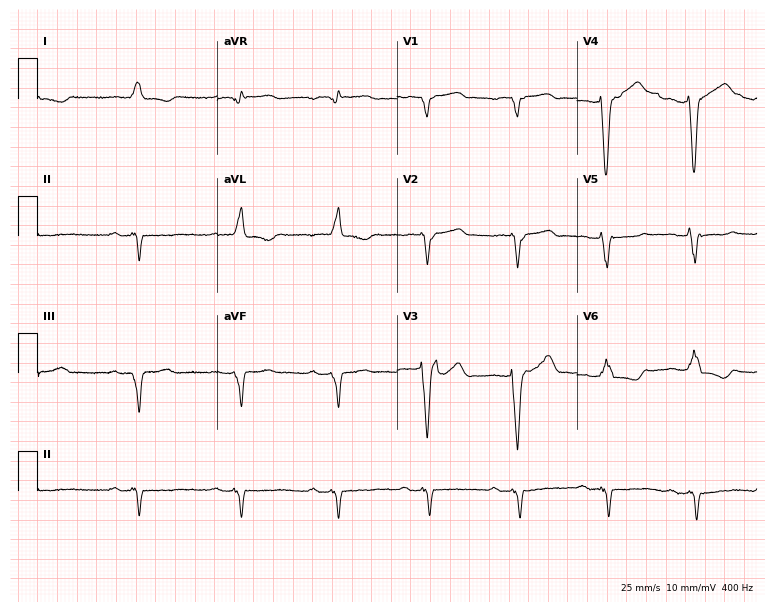
12-lead ECG from an 81-year-old female (7.3-second recording at 400 Hz). Shows first-degree AV block, left bundle branch block (LBBB).